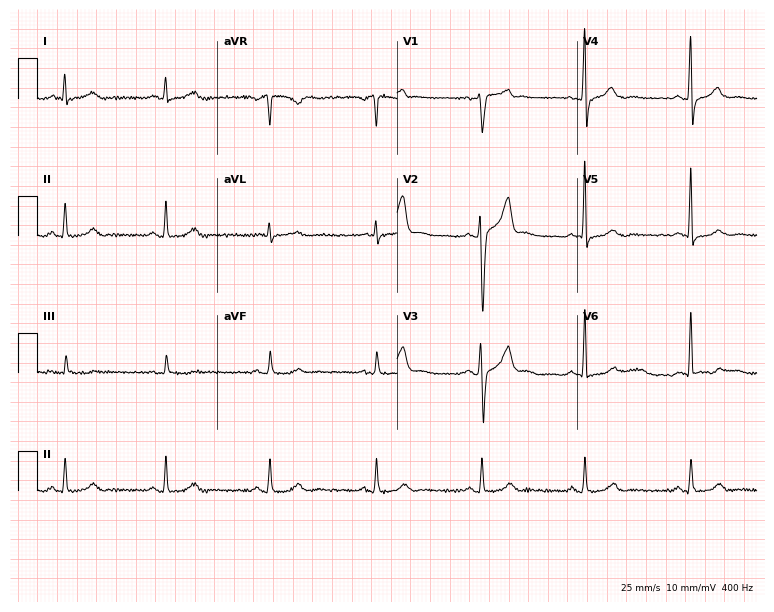
12-lead ECG (7.3-second recording at 400 Hz) from a woman, 53 years old. Screened for six findings — first-degree AV block, right bundle branch block, left bundle branch block, sinus bradycardia, atrial fibrillation, sinus tachycardia — none is recorded. Only these six findings were labelled.